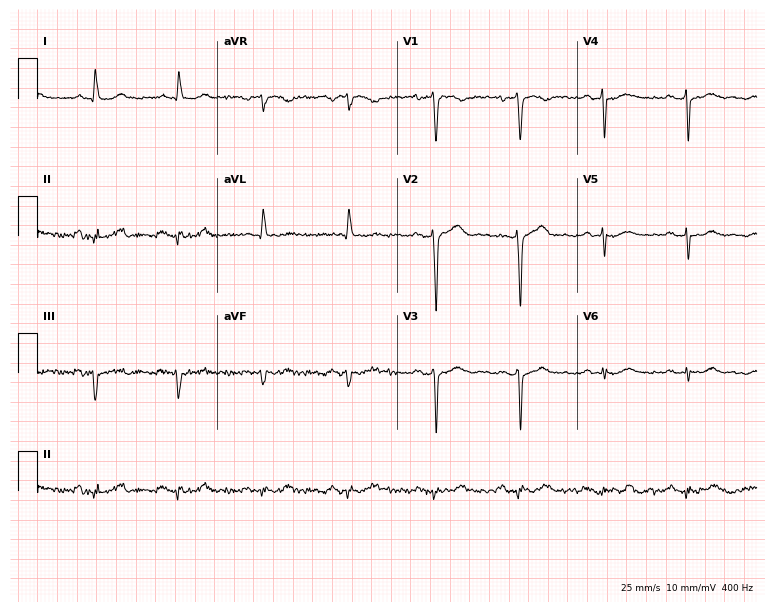
12-lead ECG from a 73-year-old male patient. No first-degree AV block, right bundle branch block (RBBB), left bundle branch block (LBBB), sinus bradycardia, atrial fibrillation (AF) or sinus tachycardia recorded for this tracing.